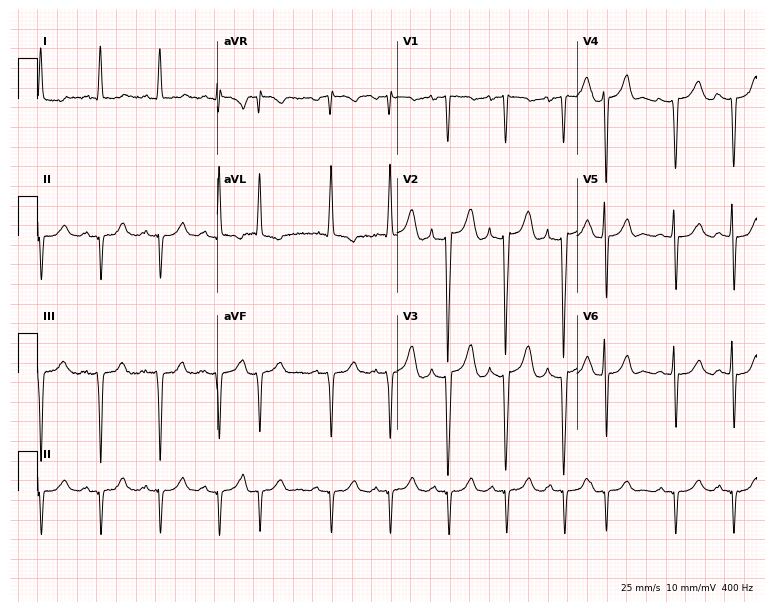
12-lead ECG (7.3-second recording at 400 Hz) from a female patient, 84 years old. Findings include sinus tachycardia (a sinus rate of 100 beats per minute or more).